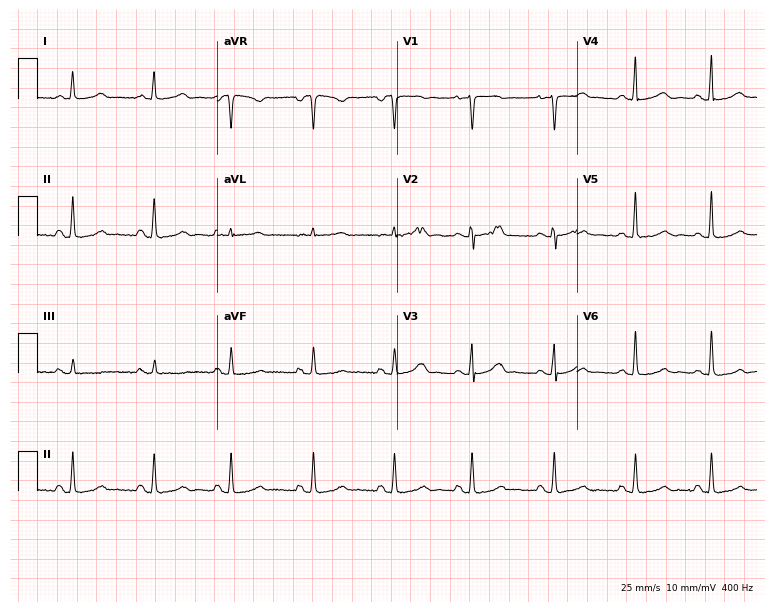
Resting 12-lead electrocardiogram (7.3-second recording at 400 Hz). Patient: a 29-year-old woman. None of these six findings is recorded: first-degree AV block, right bundle branch block, left bundle branch block, sinus bradycardia, atrial fibrillation, sinus tachycardia.